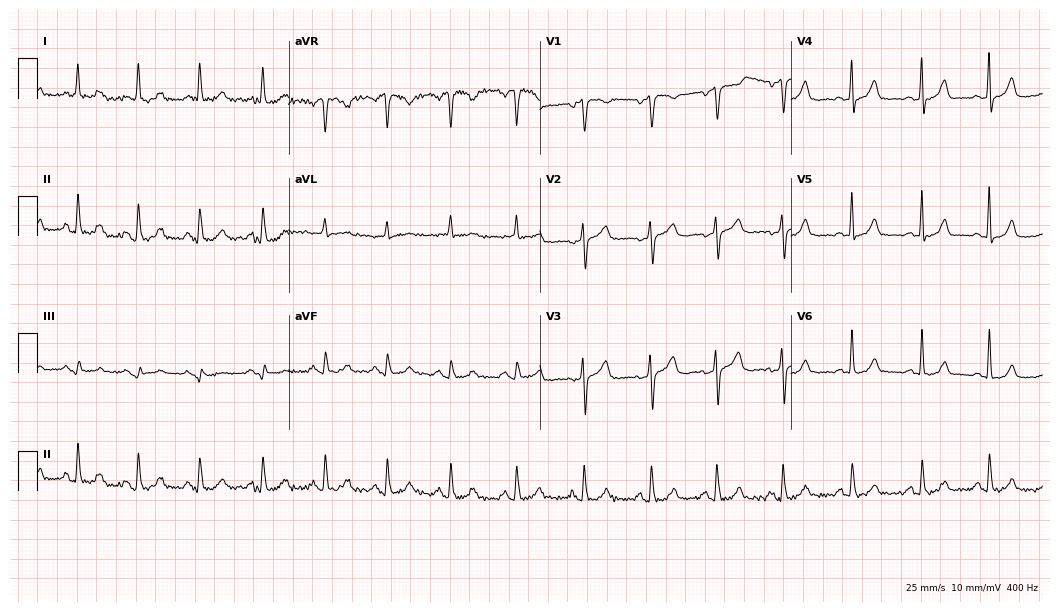
12-lead ECG (10.2-second recording at 400 Hz) from a woman, 58 years old. Labelled as a normal ECG.